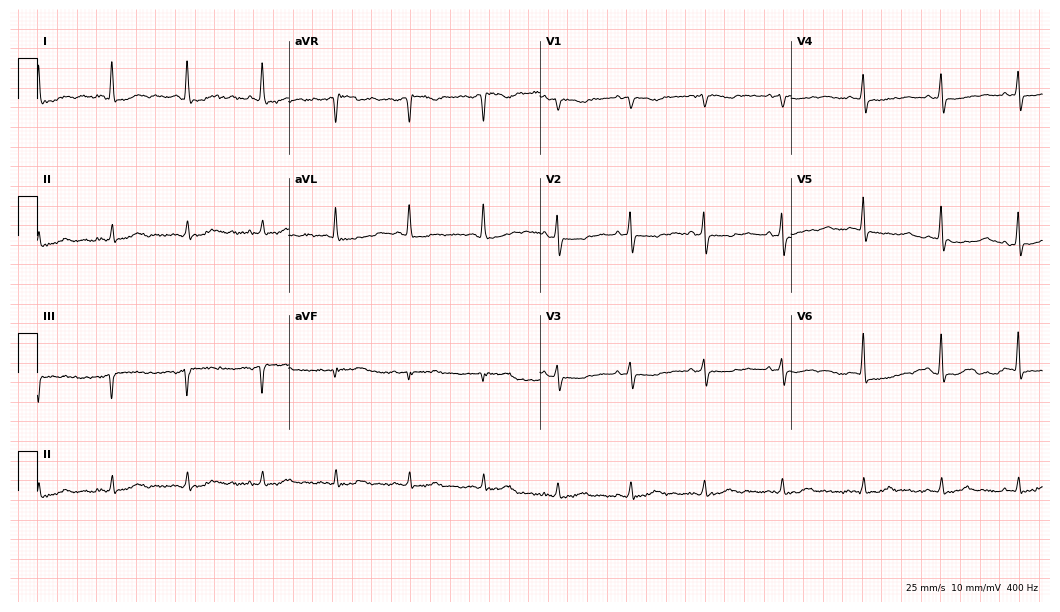
12-lead ECG (10.2-second recording at 400 Hz) from a female patient, 81 years old. Screened for six findings — first-degree AV block, right bundle branch block, left bundle branch block, sinus bradycardia, atrial fibrillation, sinus tachycardia — none is recorded. Other findings, if any, are not listed.